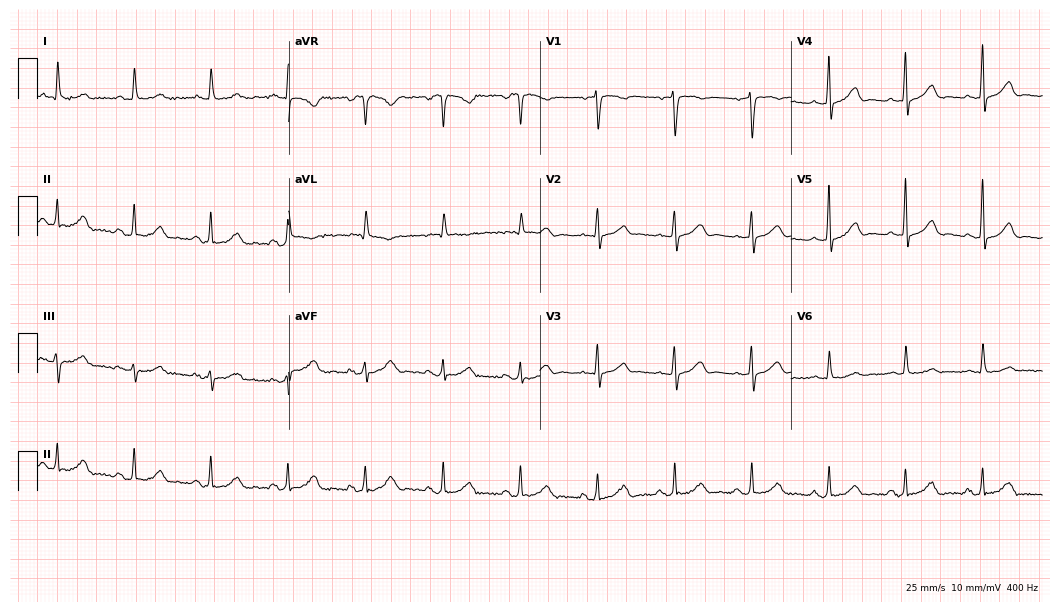
12-lead ECG from an 81-year-old female patient. Screened for six findings — first-degree AV block, right bundle branch block, left bundle branch block, sinus bradycardia, atrial fibrillation, sinus tachycardia — none is recorded.